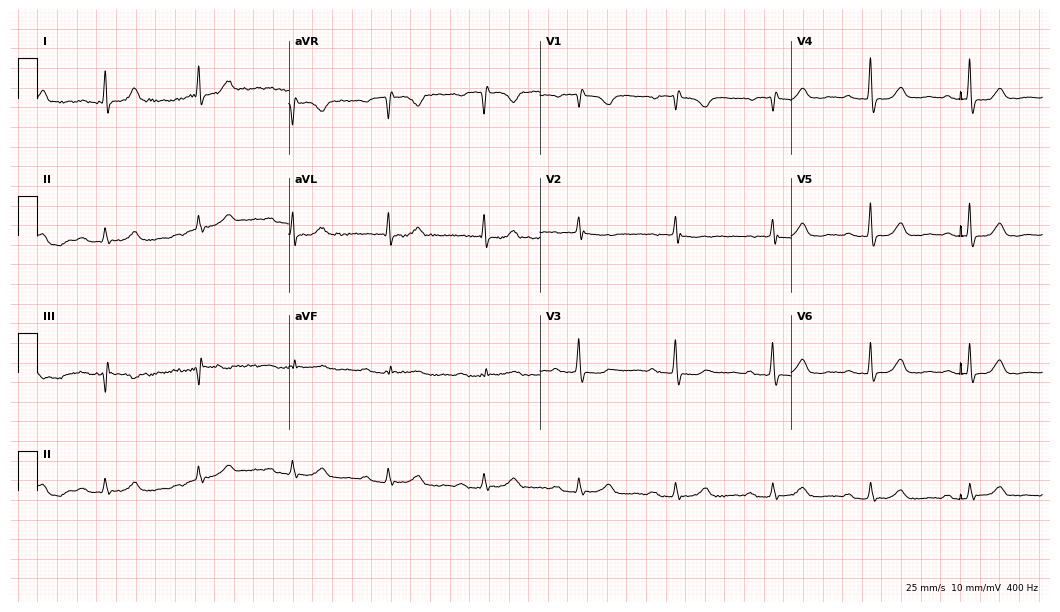
Electrocardiogram, an 82-year-old woman. Of the six screened findings (first-degree AV block, right bundle branch block (RBBB), left bundle branch block (LBBB), sinus bradycardia, atrial fibrillation (AF), sinus tachycardia), none is recorded.